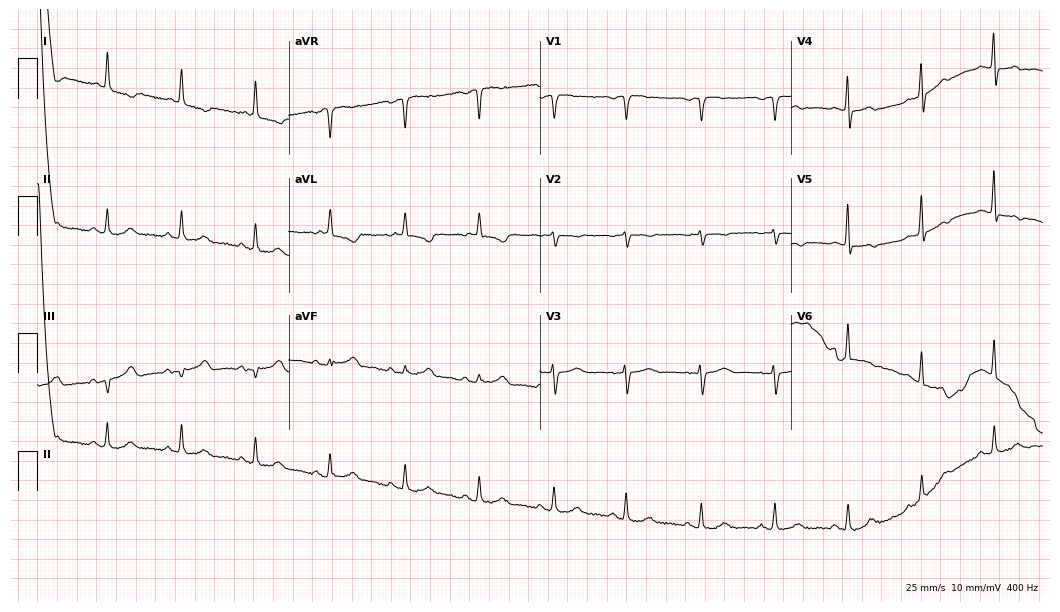
Electrocardiogram, an 85-year-old female patient. Of the six screened findings (first-degree AV block, right bundle branch block (RBBB), left bundle branch block (LBBB), sinus bradycardia, atrial fibrillation (AF), sinus tachycardia), none is recorded.